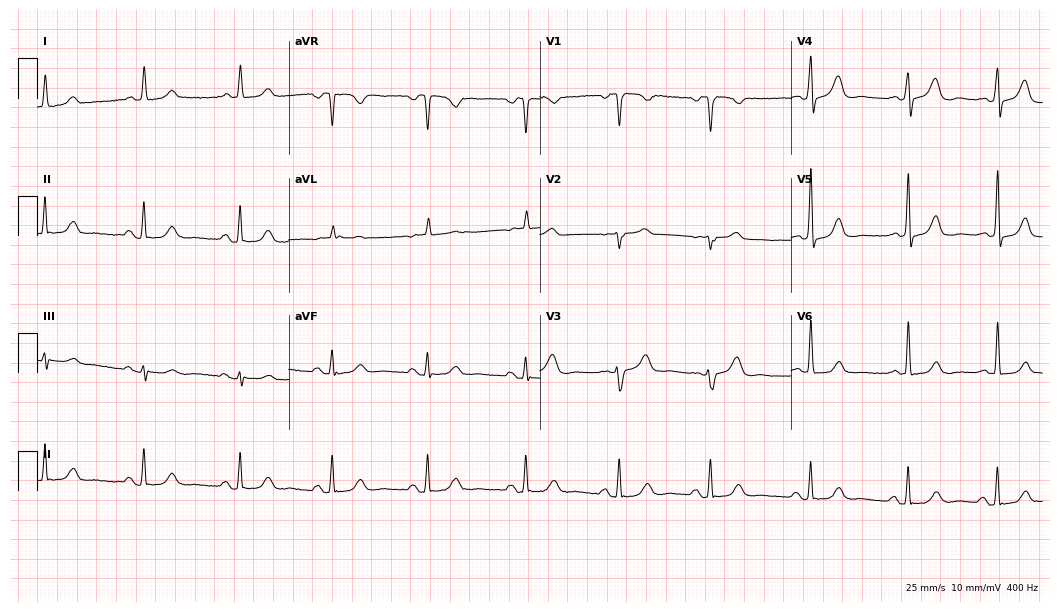
12-lead ECG from a female, 63 years old (10.2-second recording at 400 Hz). Recorded interpretation: within normal limits.